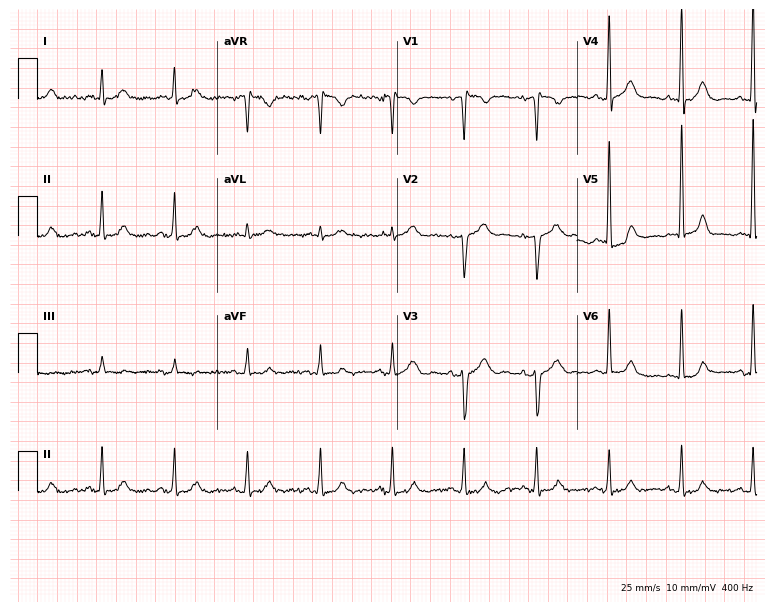
Electrocardiogram, a male, 60 years old. Of the six screened findings (first-degree AV block, right bundle branch block, left bundle branch block, sinus bradycardia, atrial fibrillation, sinus tachycardia), none is recorded. Findings outside these six are not listed.